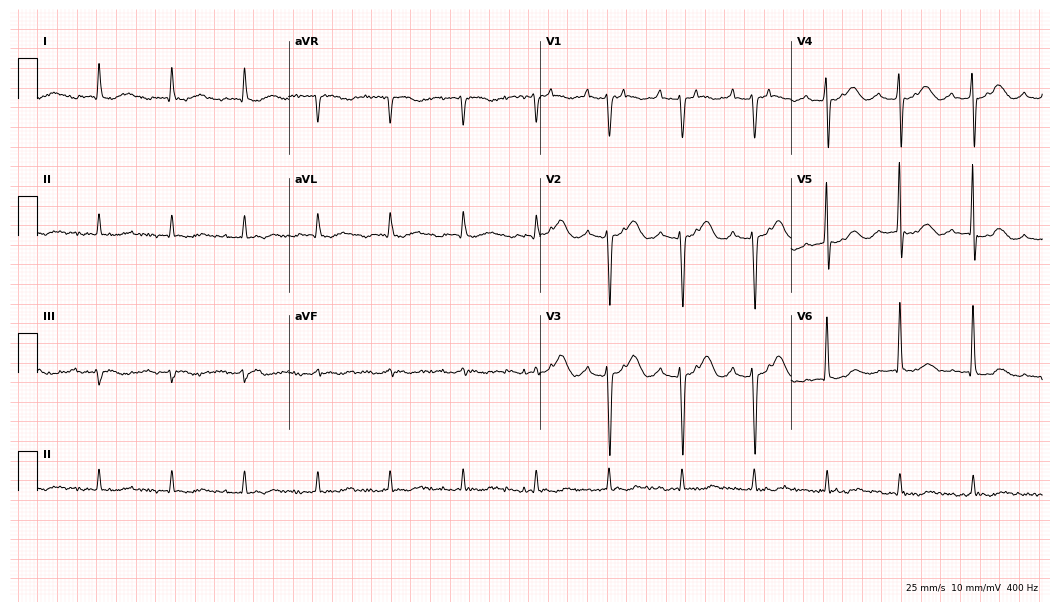
Standard 12-lead ECG recorded from an 81-year-old male. None of these six findings is recorded: first-degree AV block, right bundle branch block (RBBB), left bundle branch block (LBBB), sinus bradycardia, atrial fibrillation (AF), sinus tachycardia. Only these six findings were labelled.